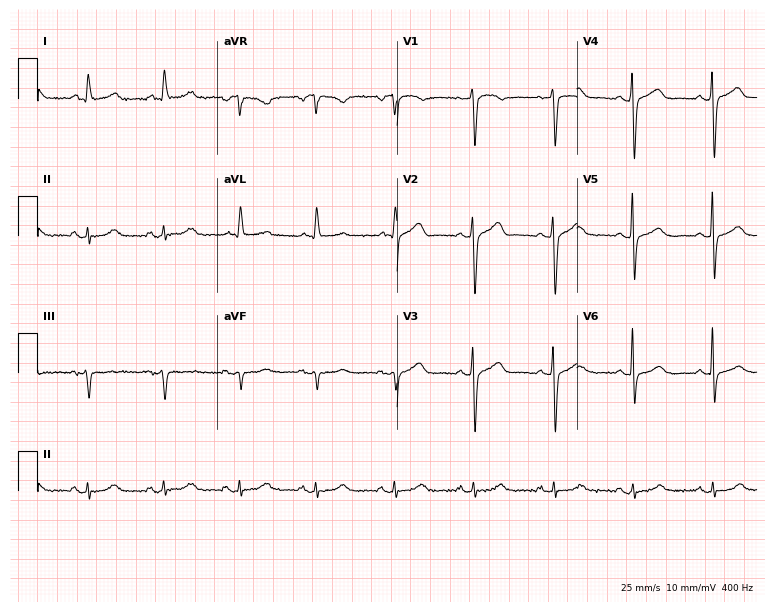
Electrocardiogram (7.3-second recording at 400 Hz), a 77-year-old female. Of the six screened findings (first-degree AV block, right bundle branch block, left bundle branch block, sinus bradycardia, atrial fibrillation, sinus tachycardia), none is recorded. Findings outside these six are not listed.